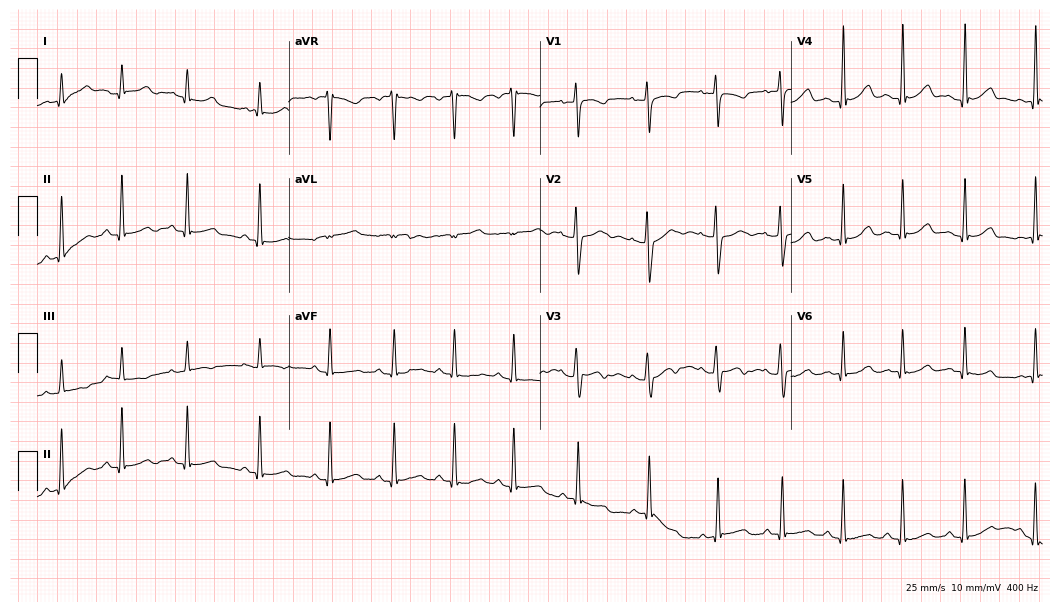
Electrocardiogram, an 18-year-old woman. Overall reading on record: normal ECG.